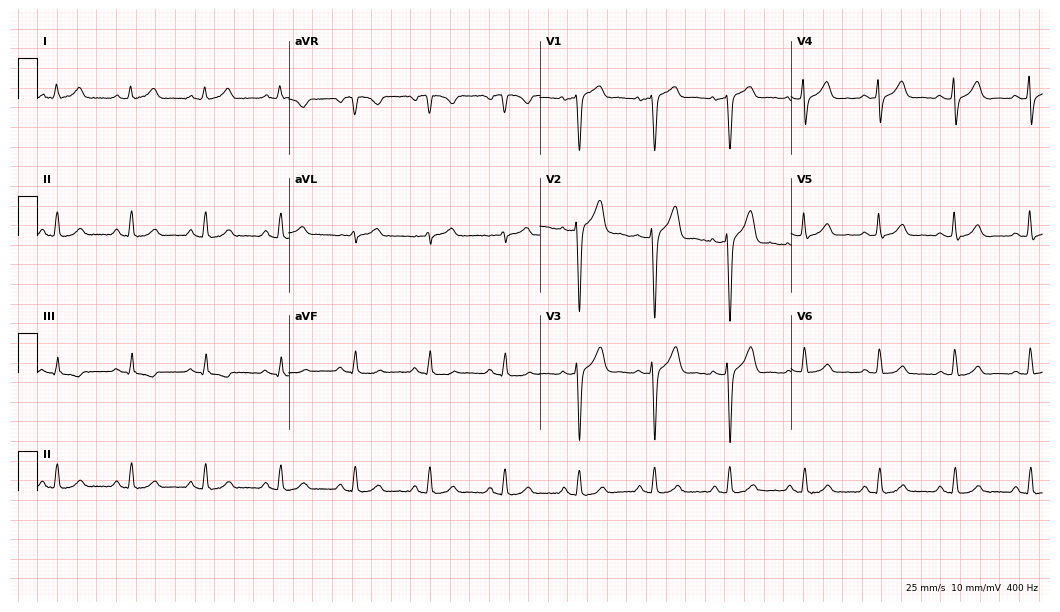
Electrocardiogram (10.2-second recording at 400 Hz), a 52-year-old man. Of the six screened findings (first-degree AV block, right bundle branch block (RBBB), left bundle branch block (LBBB), sinus bradycardia, atrial fibrillation (AF), sinus tachycardia), none is recorded. Other findings, if any, are not listed.